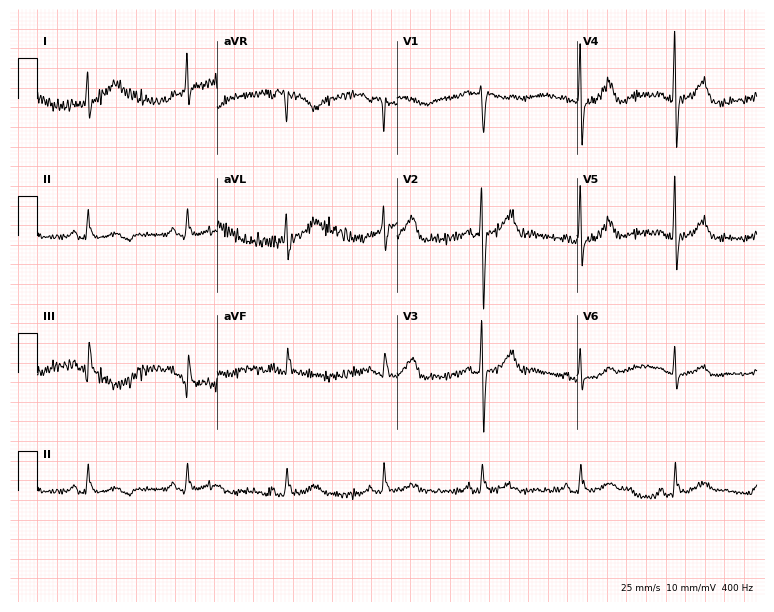
12-lead ECG from a 72-year-old man. No first-degree AV block, right bundle branch block, left bundle branch block, sinus bradycardia, atrial fibrillation or sinus tachycardia recorded for this tracing.